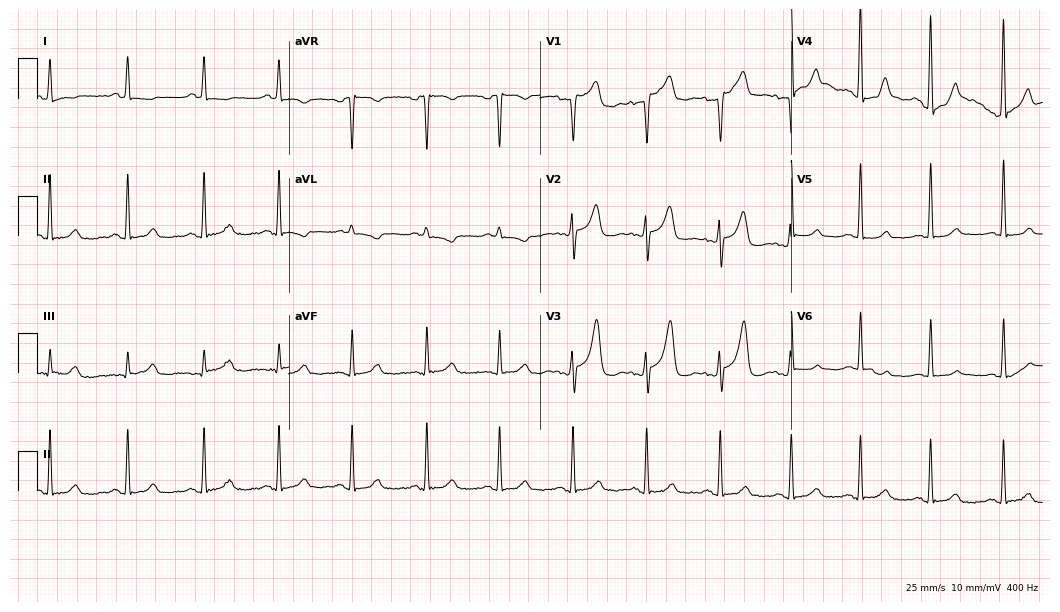
Resting 12-lead electrocardiogram (10.2-second recording at 400 Hz). Patient: a female, 79 years old. Read as a normal ECG.